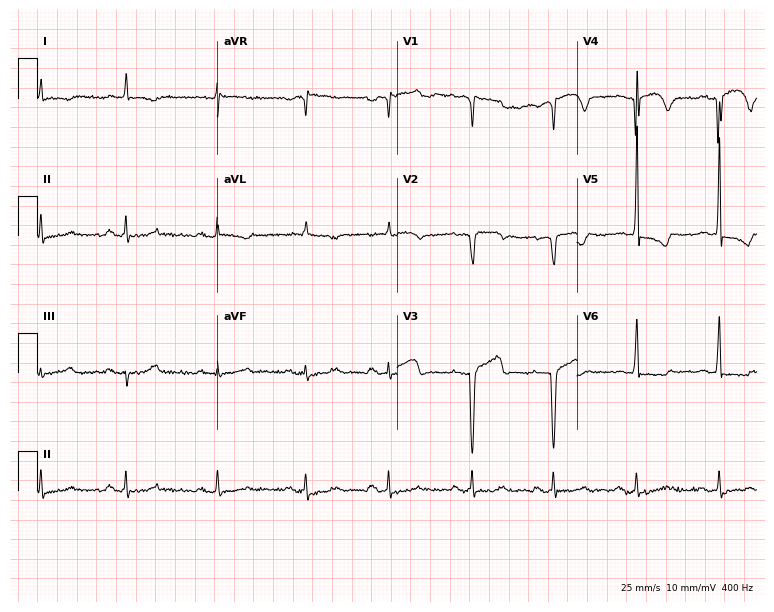
12-lead ECG from a male, 82 years old (7.3-second recording at 400 Hz). No first-degree AV block, right bundle branch block (RBBB), left bundle branch block (LBBB), sinus bradycardia, atrial fibrillation (AF) or sinus tachycardia recorded for this tracing. Other findings, if any, are not listed.